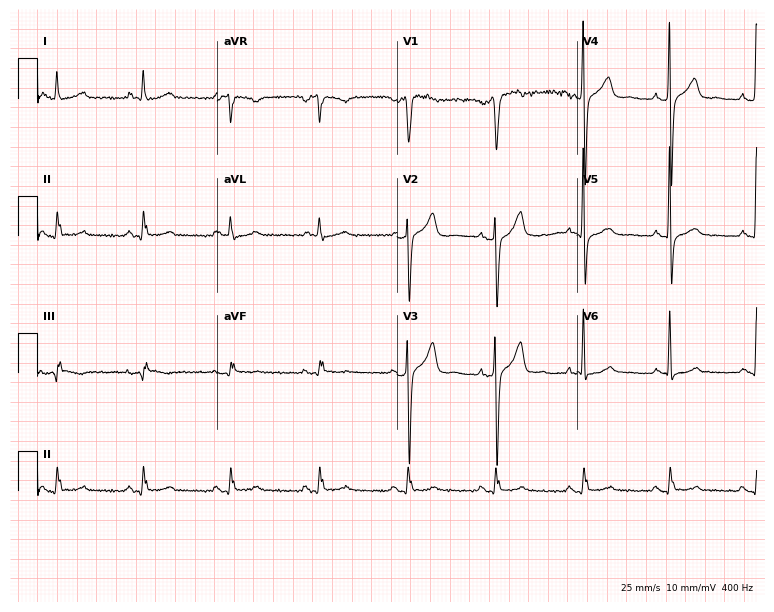
12-lead ECG from a male patient, 64 years old (7.3-second recording at 400 Hz). No first-degree AV block, right bundle branch block (RBBB), left bundle branch block (LBBB), sinus bradycardia, atrial fibrillation (AF) or sinus tachycardia recorded for this tracing. Findings outside these six are not listed.